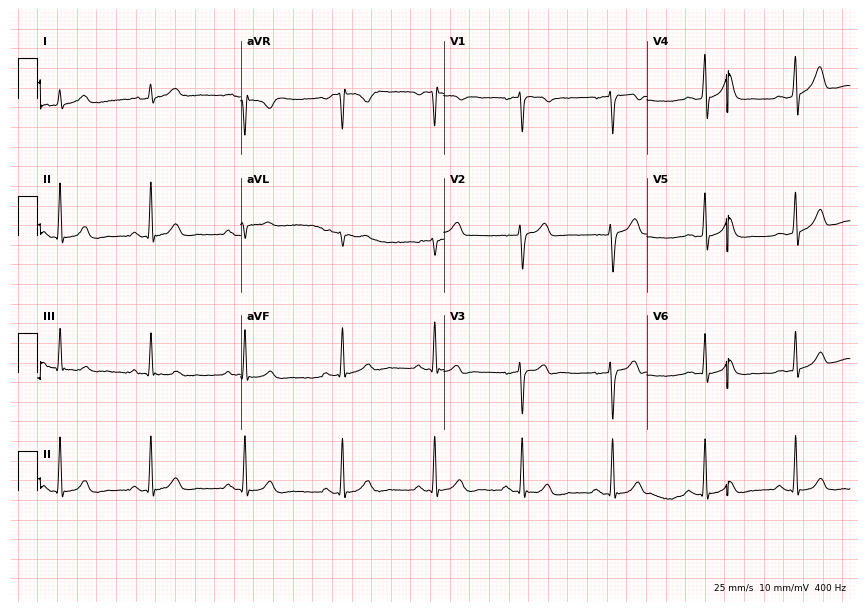
12-lead ECG from a 31-year-old man (8.3-second recording at 400 Hz). Recorded interpretation: within normal limits.